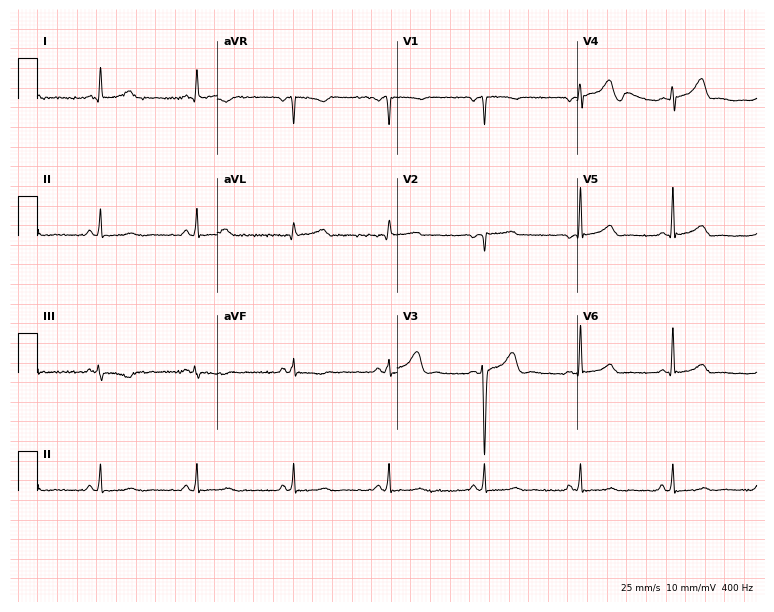
Resting 12-lead electrocardiogram. Patient: a female, 46 years old. Read as a normal ECG.